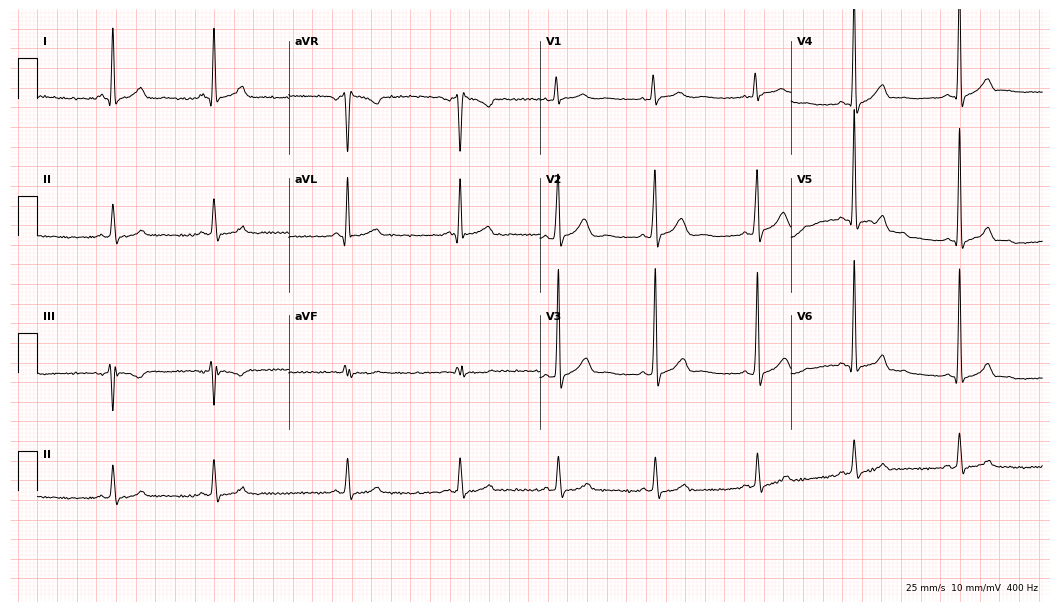
Electrocardiogram, a 32-year-old male patient. Of the six screened findings (first-degree AV block, right bundle branch block, left bundle branch block, sinus bradycardia, atrial fibrillation, sinus tachycardia), none is recorded.